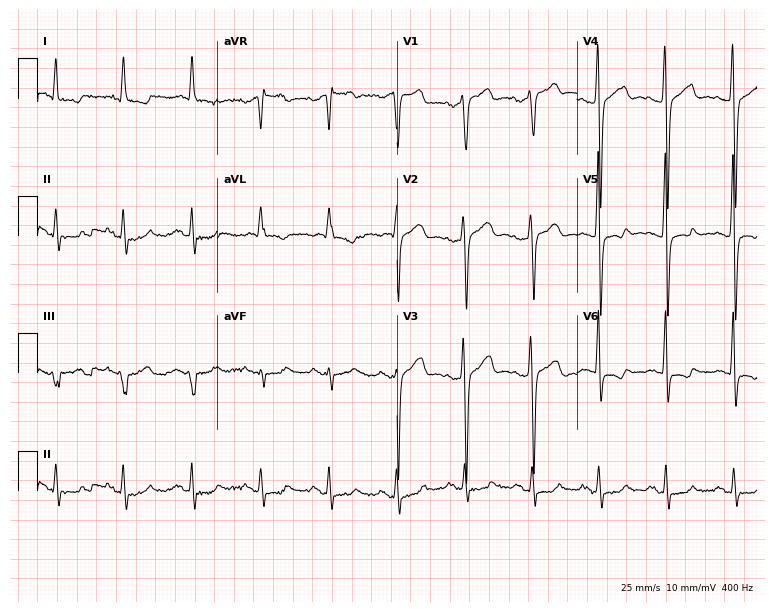
Standard 12-lead ECG recorded from a 71-year-old male (7.3-second recording at 400 Hz). None of these six findings is recorded: first-degree AV block, right bundle branch block, left bundle branch block, sinus bradycardia, atrial fibrillation, sinus tachycardia.